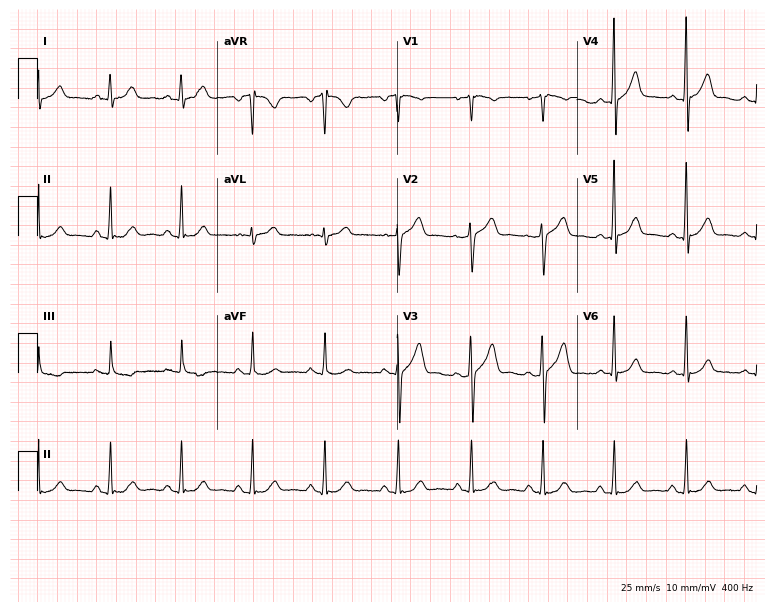
Standard 12-lead ECG recorded from a 46-year-old male patient. Read as a normal ECG.